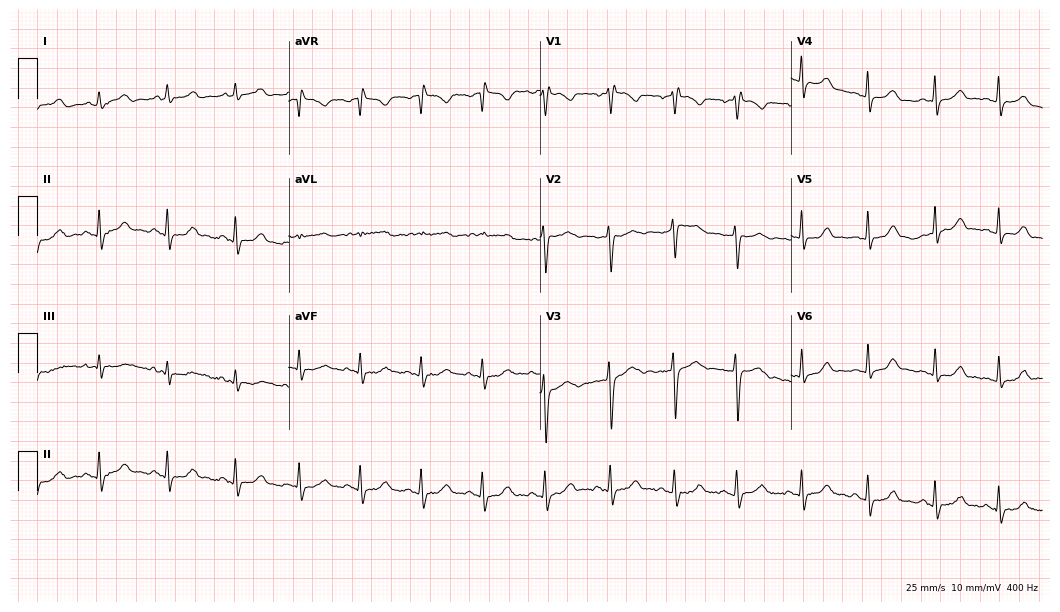
12-lead ECG from a 20-year-old female. Screened for six findings — first-degree AV block, right bundle branch block (RBBB), left bundle branch block (LBBB), sinus bradycardia, atrial fibrillation (AF), sinus tachycardia — none is recorded.